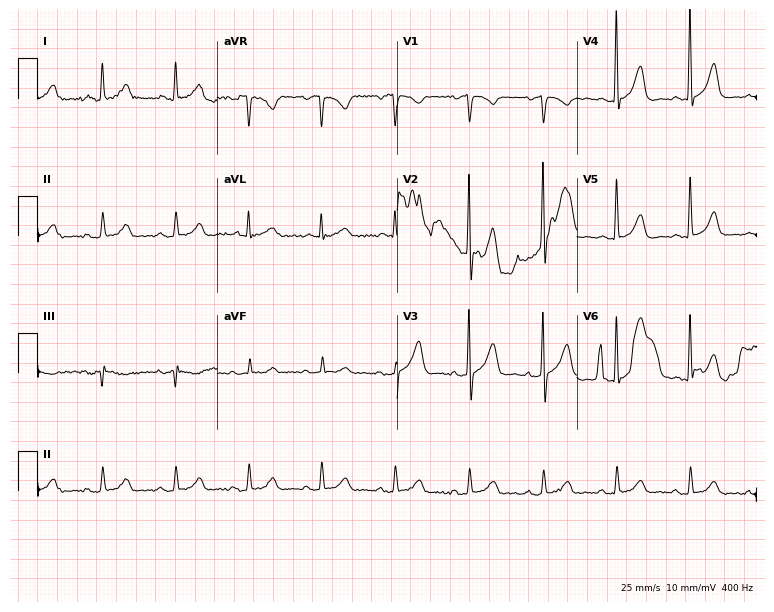
12-lead ECG from a 70-year-old woman. No first-degree AV block, right bundle branch block, left bundle branch block, sinus bradycardia, atrial fibrillation or sinus tachycardia recorded for this tracing. Other findings, if any, are not listed.